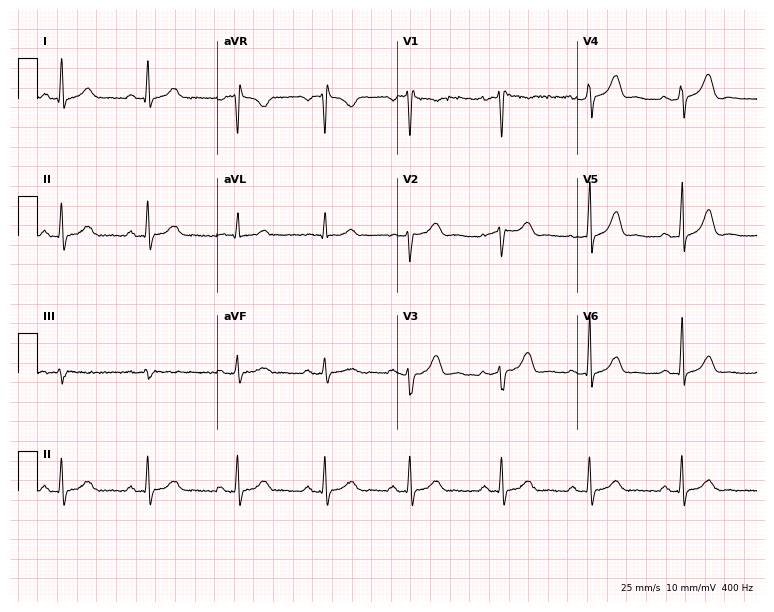
12-lead ECG from a female patient, 44 years old (7.3-second recording at 400 Hz). No first-degree AV block, right bundle branch block (RBBB), left bundle branch block (LBBB), sinus bradycardia, atrial fibrillation (AF) or sinus tachycardia recorded for this tracing.